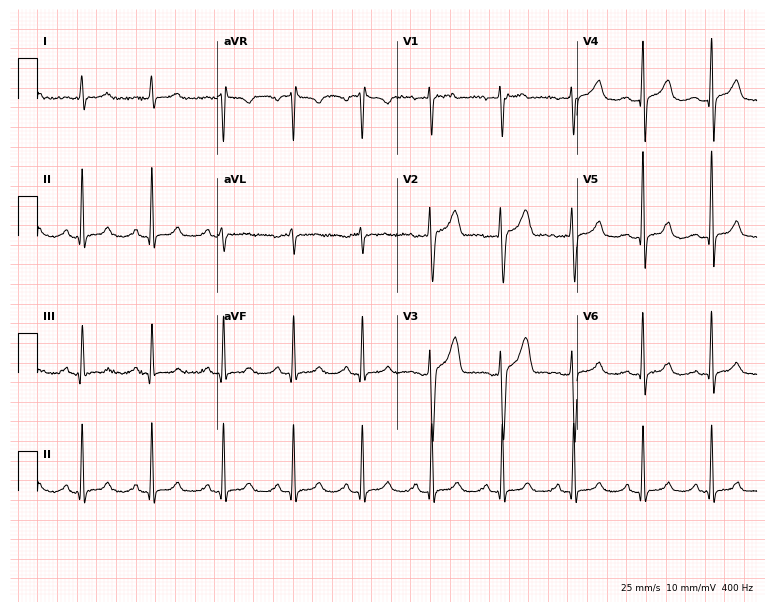
Standard 12-lead ECG recorded from a female patient, 41 years old. Read as a normal ECG.